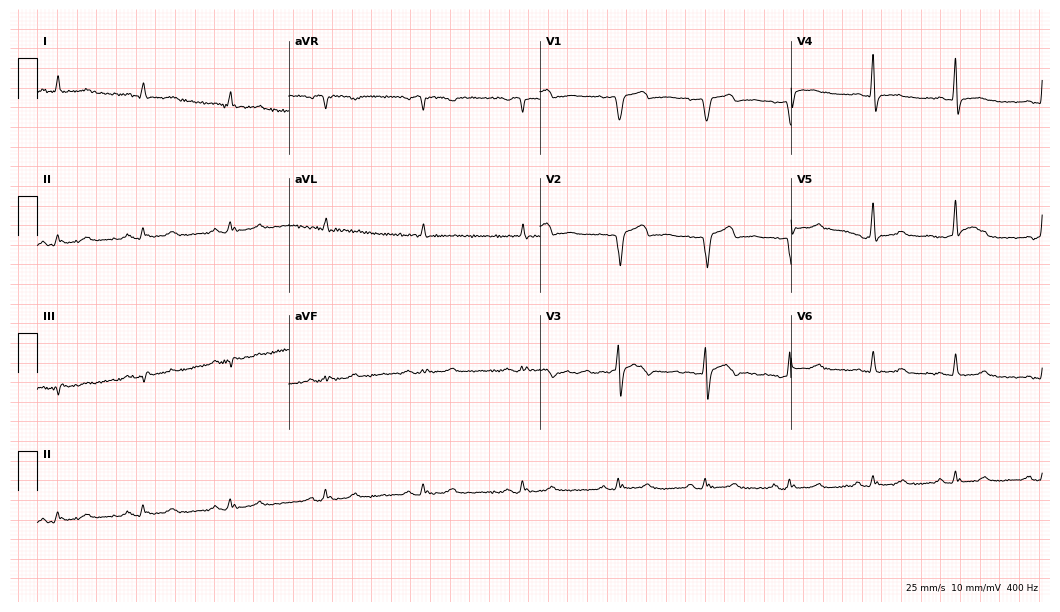
Resting 12-lead electrocardiogram. Patient: a 63-year-old male. None of these six findings is recorded: first-degree AV block, right bundle branch block, left bundle branch block, sinus bradycardia, atrial fibrillation, sinus tachycardia. Findings outside these six are not listed.